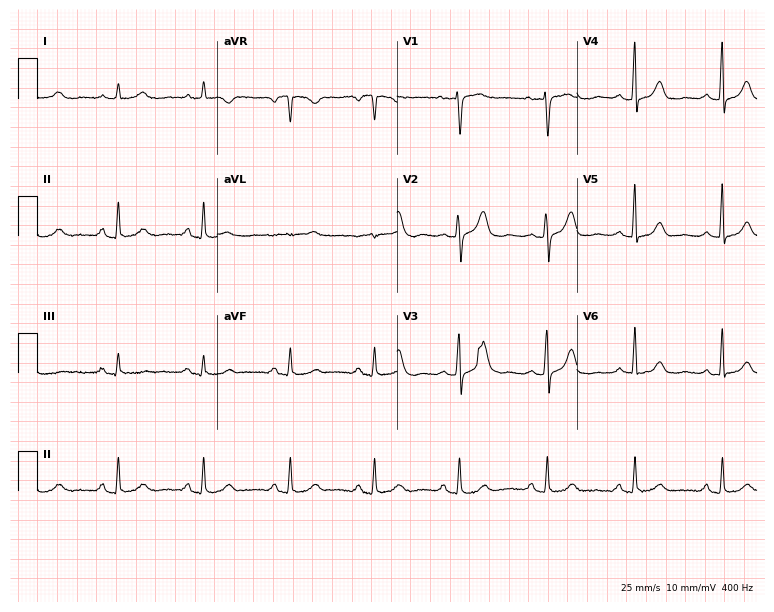
Standard 12-lead ECG recorded from a 58-year-old female. None of these six findings is recorded: first-degree AV block, right bundle branch block (RBBB), left bundle branch block (LBBB), sinus bradycardia, atrial fibrillation (AF), sinus tachycardia.